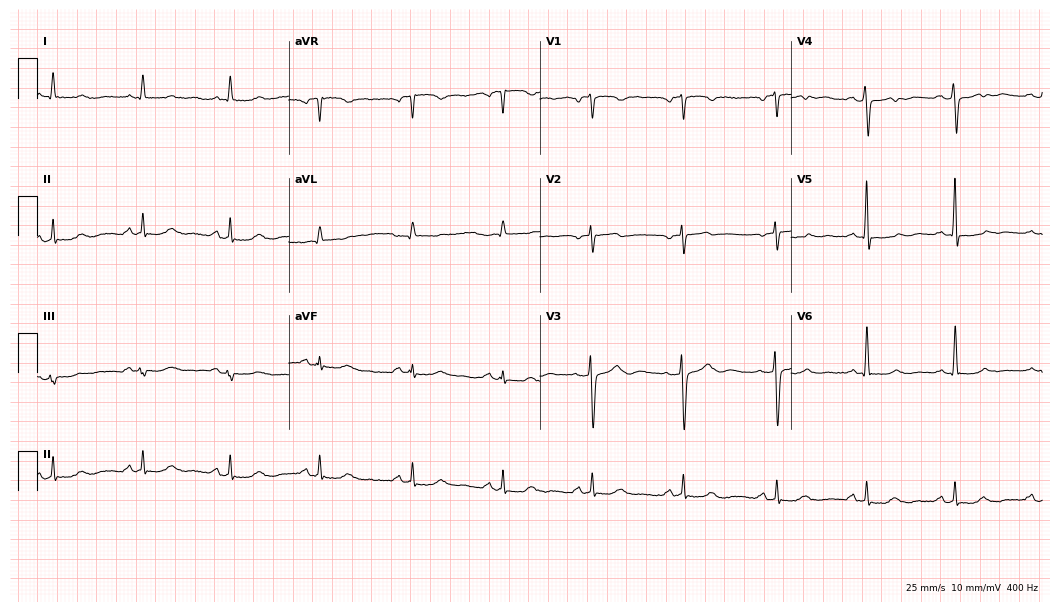
Resting 12-lead electrocardiogram. Patient: a female, 55 years old. None of these six findings is recorded: first-degree AV block, right bundle branch block (RBBB), left bundle branch block (LBBB), sinus bradycardia, atrial fibrillation (AF), sinus tachycardia. Other findings, if any, are not listed.